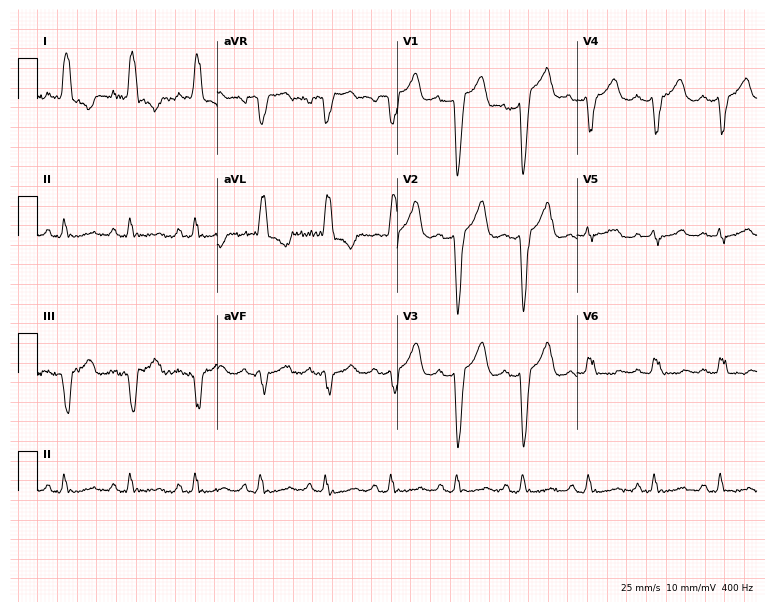
Electrocardiogram, a female, 71 years old. Interpretation includes left bundle branch block.